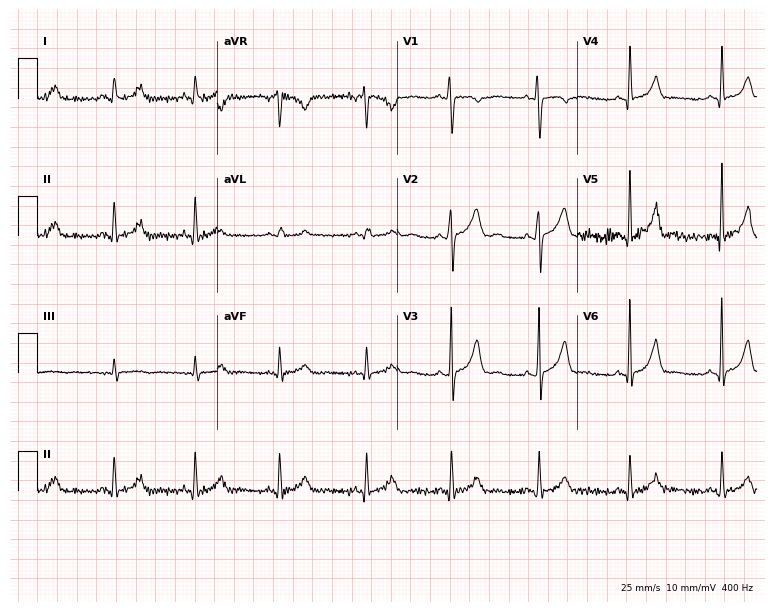
12-lead ECG from a 35-year-old female patient. Labelled as a normal ECG.